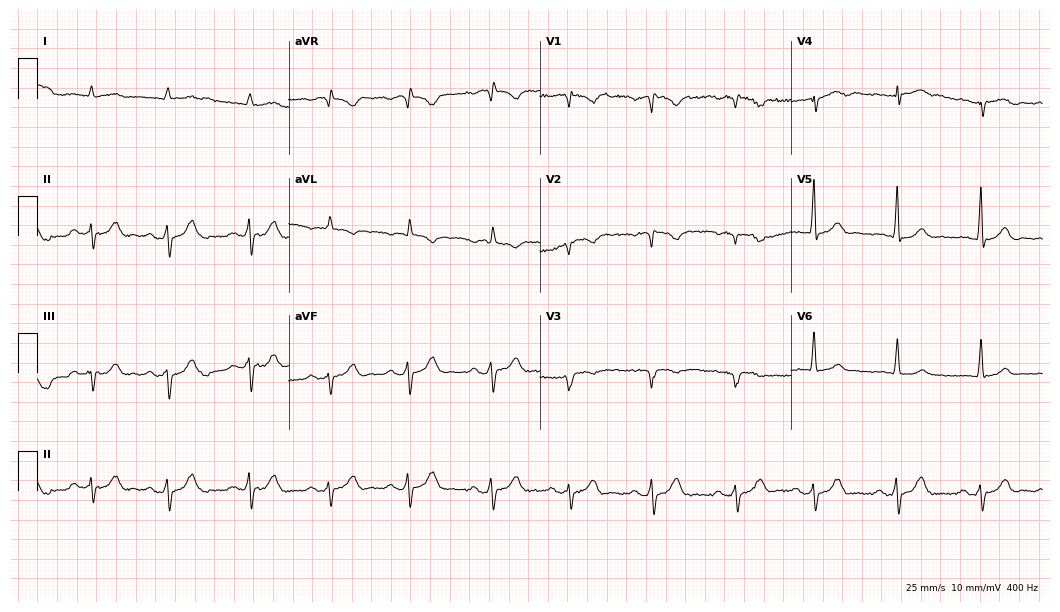
12-lead ECG (10.2-second recording at 400 Hz) from a male, 72 years old. Screened for six findings — first-degree AV block, right bundle branch block, left bundle branch block, sinus bradycardia, atrial fibrillation, sinus tachycardia — none is recorded. Only these six findings were labelled.